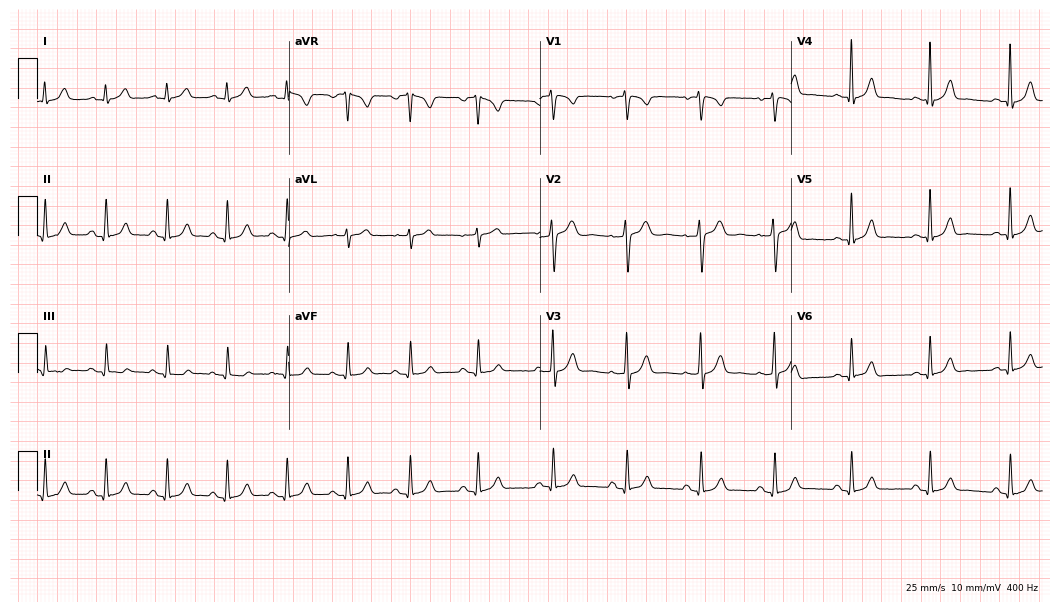
Electrocardiogram (10.2-second recording at 400 Hz), a 33-year-old female. Overall reading on record: normal ECG.